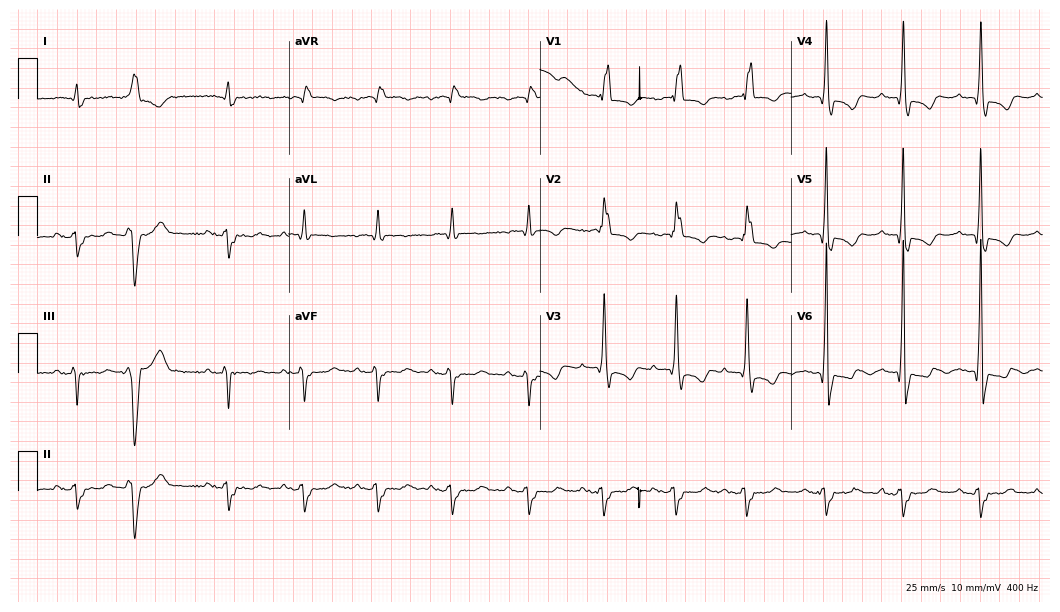
Standard 12-lead ECG recorded from a man, 85 years old (10.2-second recording at 400 Hz). The tracing shows right bundle branch block.